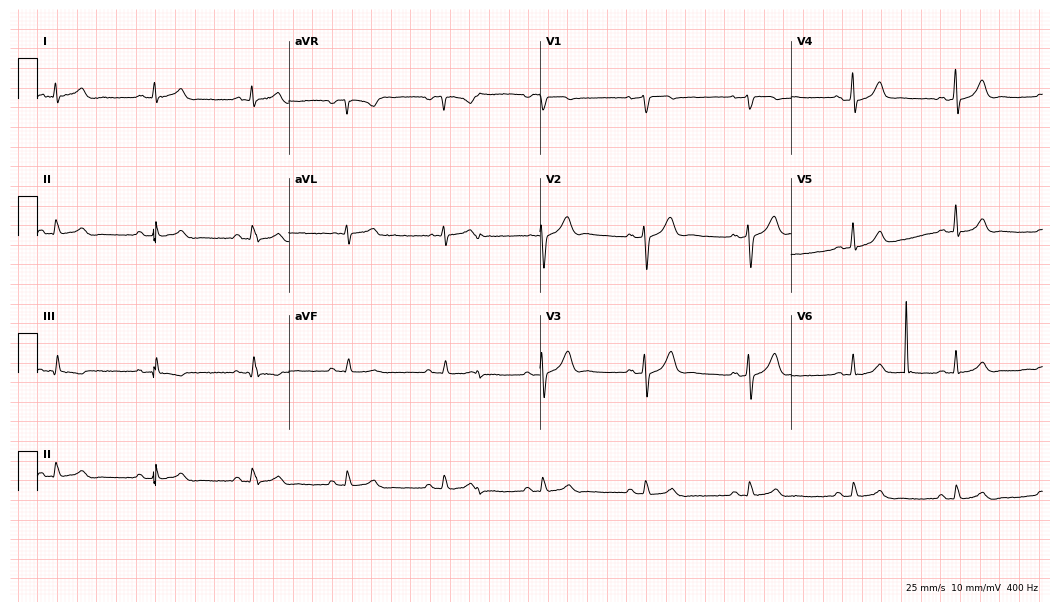
12-lead ECG from a 57-year-old male. Recorded interpretation: within normal limits.